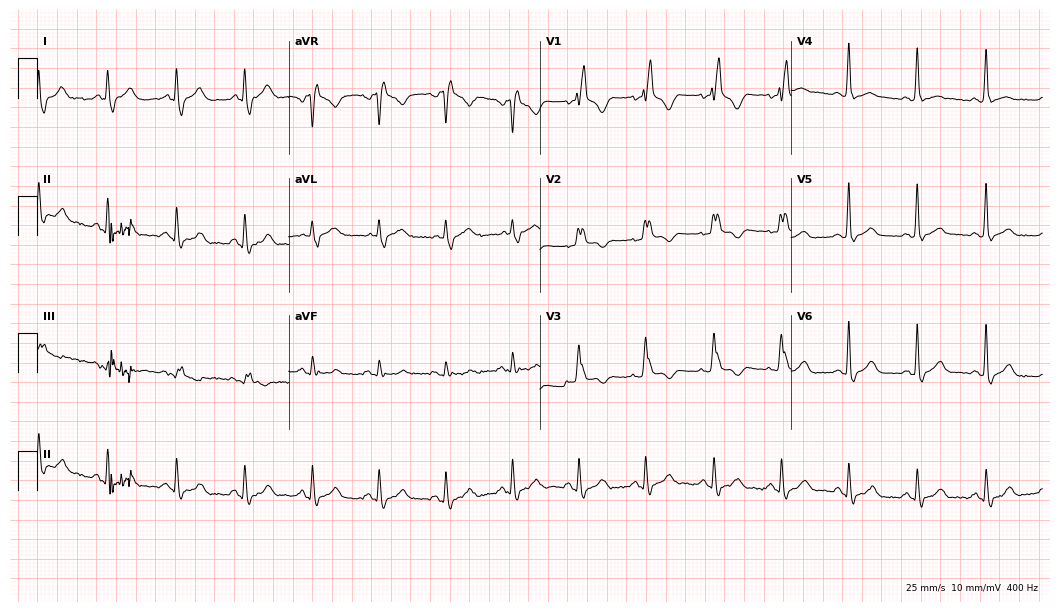
12-lead ECG (10.2-second recording at 400 Hz) from a male patient, 74 years old. Findings include right bundle branch block.